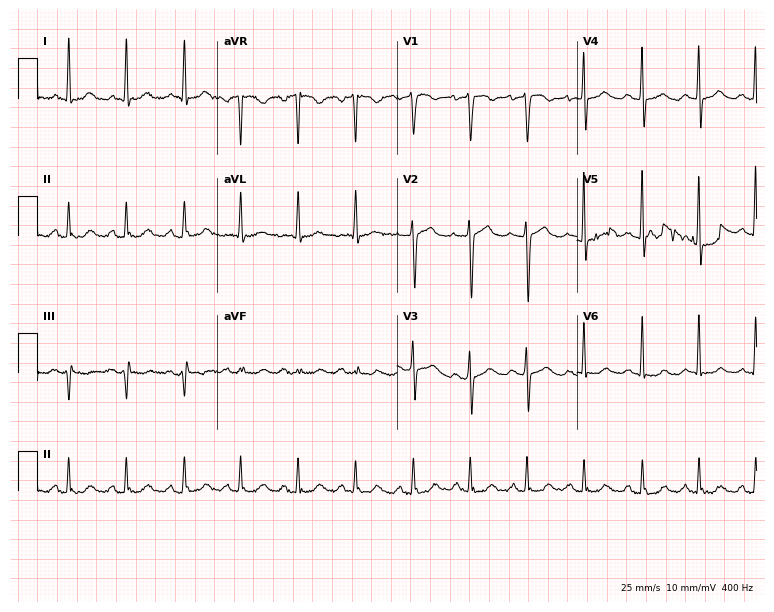
12-lead ECG from an 84-year-old female. Shows sinus tachycardia (a sinus rate of 100 beats per minute or more).